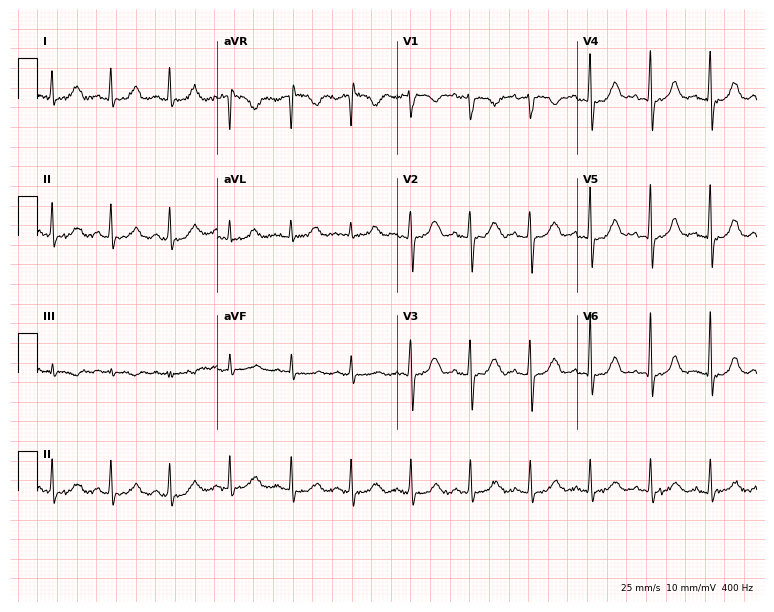
12-lead ECG from a 24-year-old woman. Recorded interpretation: within normal limits.